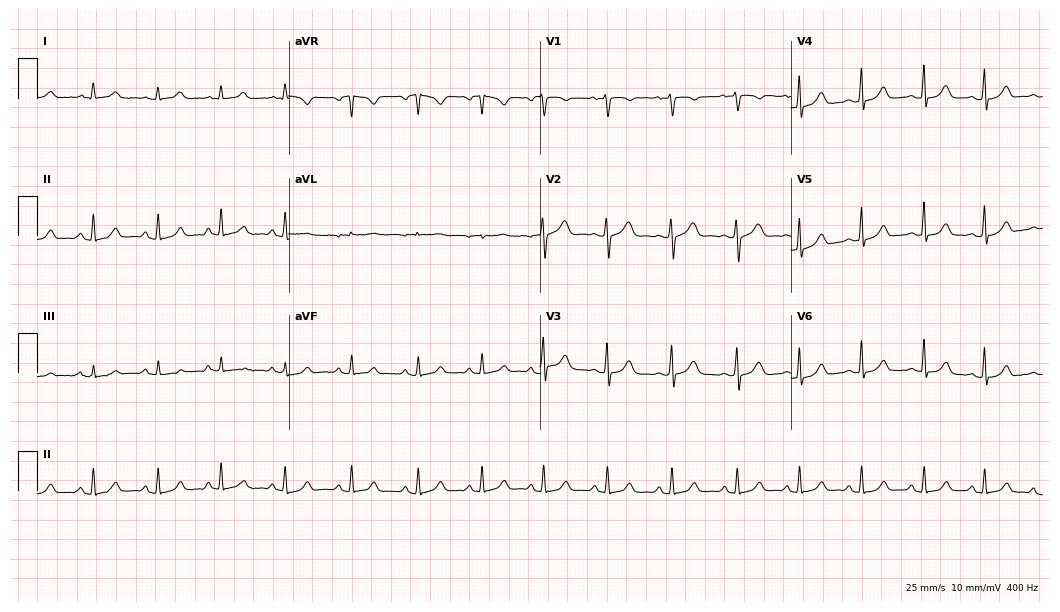
Electrocardiogram (10.2-second recording at 400 Hz), a 24-year-old female. Overall reading on record: normal ECG.